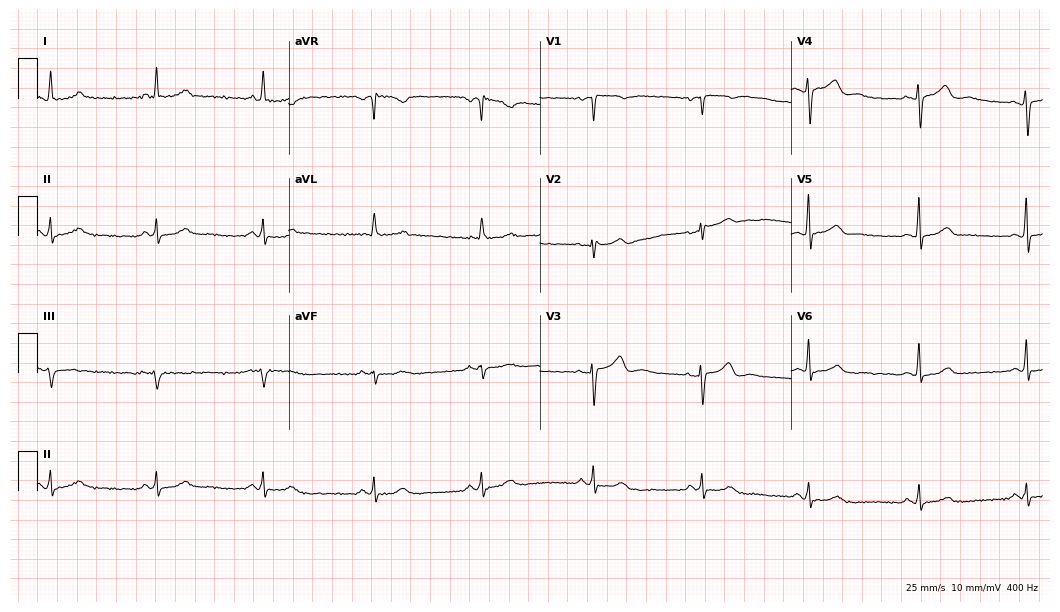
Electrocardiogram, a female patient, 41 years old. Of the six screened findings (first-degree AV block, right bundle branch block, left bundle branch block, sinus bradycardia, atrial fibrillation, sinus tachycardia), none is recorded.